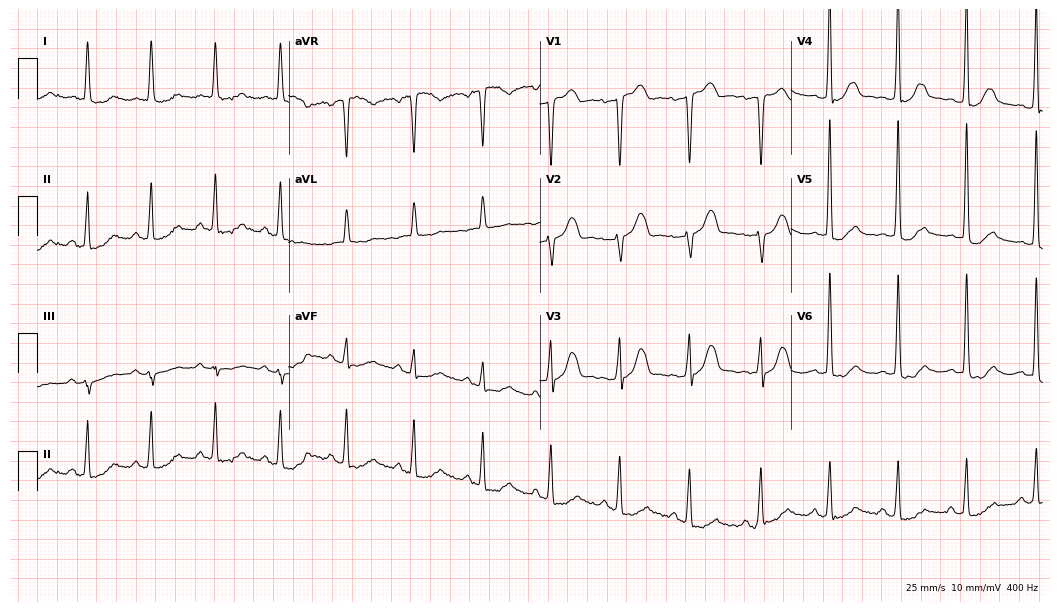
12-lead ECG from a female, 59 years old. Recorded interpretation: within normal limits.